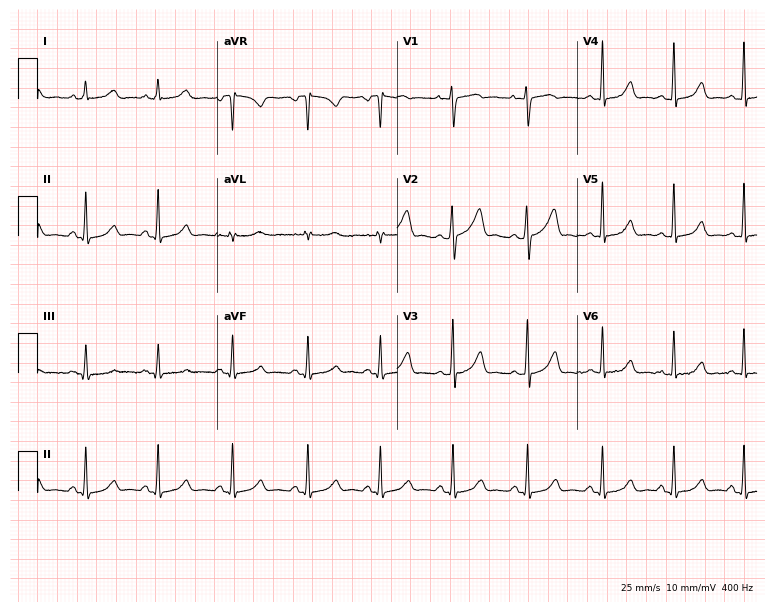
12-lead ECG from a female, 35 years old (7.3-second recording at 400 Hz). No first-degree AV block, right bundle branch block (RBBB), left bundle branch block (LBBB), sinus bradycardia, atrial fibrillation (AF) or sinus tachycardia recorded for this tracing.